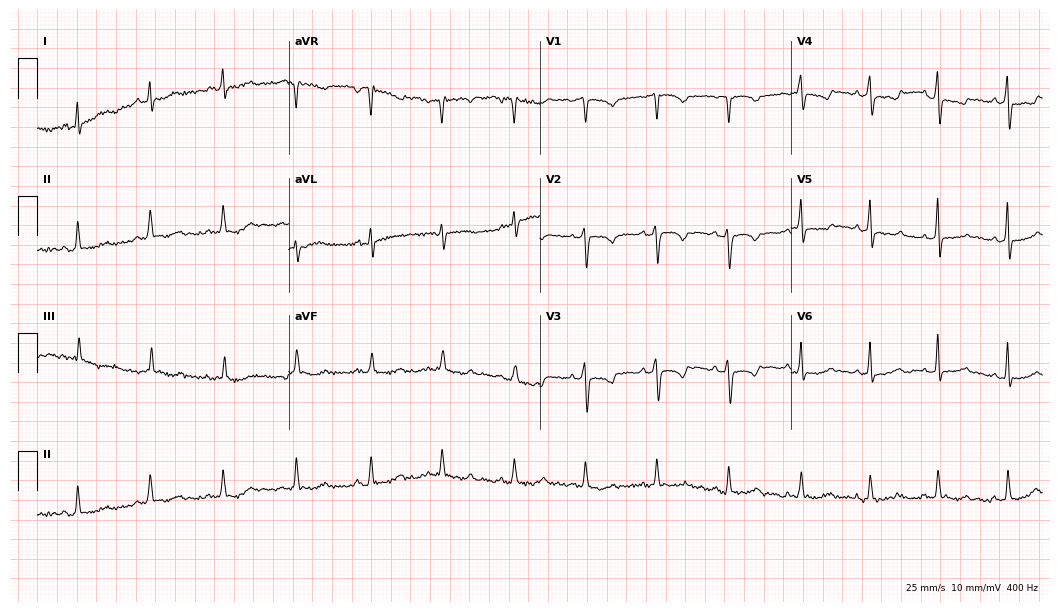
12-lead ECG from a woman, 30 years old (10.2-second recording at 400 Hz). No first-degree AV block, right bundle branch block, left bundle branch block, sinus bradycardia, atrial fibrillation or sinus tachycardia recorded for this tracing. Other findings, if any, are not listed.